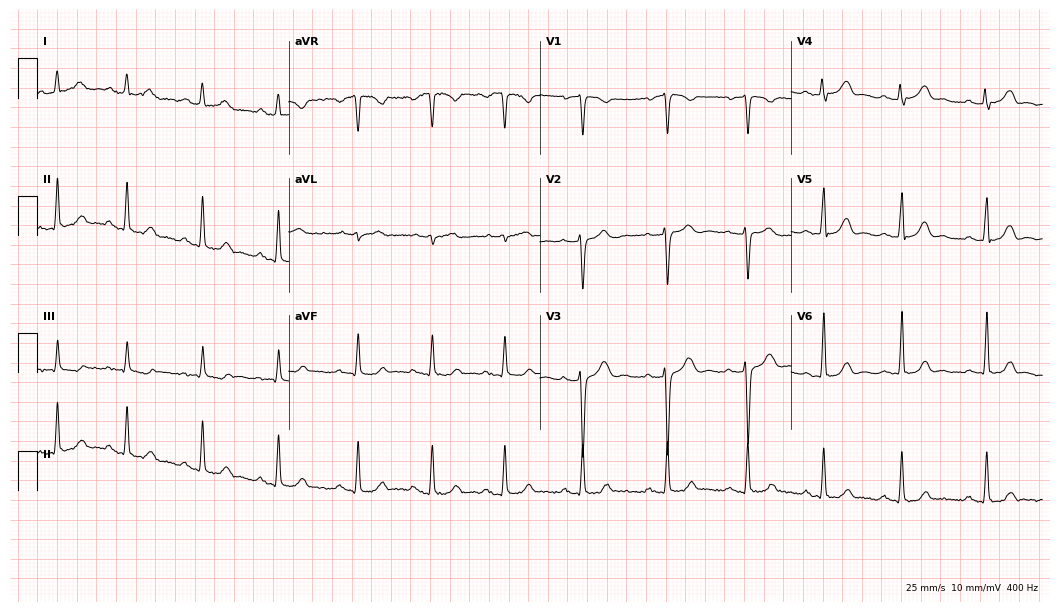
Resting 12-lead electrocardiogram. Patient: a female, 25 years old. Read as a normal ECG.